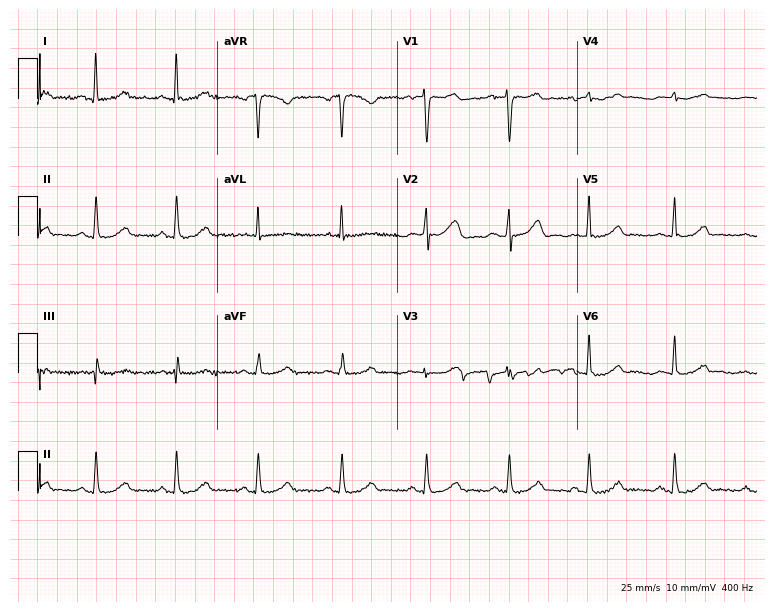
Resting 12-lead electrocardiogram. Patient: a female, 42 years old. Read as a normal ECG.